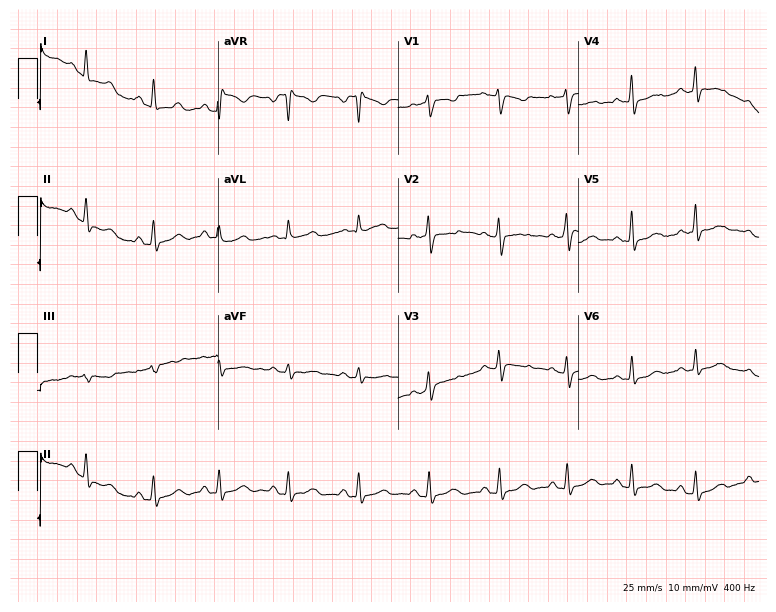
Standard 12-lead ECG recorded from a woman, 33 years old (7.4-second recording at 400 Hz). None of these six findings is recorded: first-degree AV block, right bundle branch block (RBBB), left bundle branch block (LBBB), sinus bradycardia, atrial fibrillation (AF), sinus tachycardia.